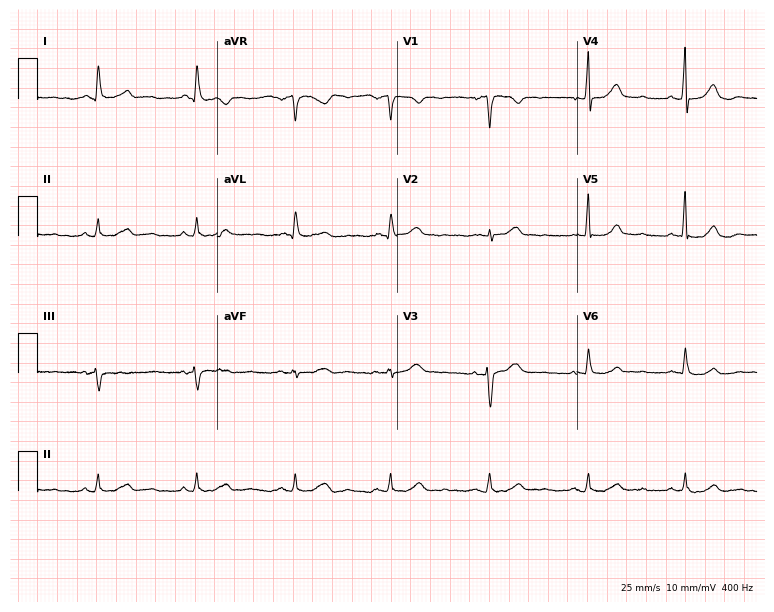
Electrocardiogram, a 58-year-old female patient. Overall reading on record: normal ECG.